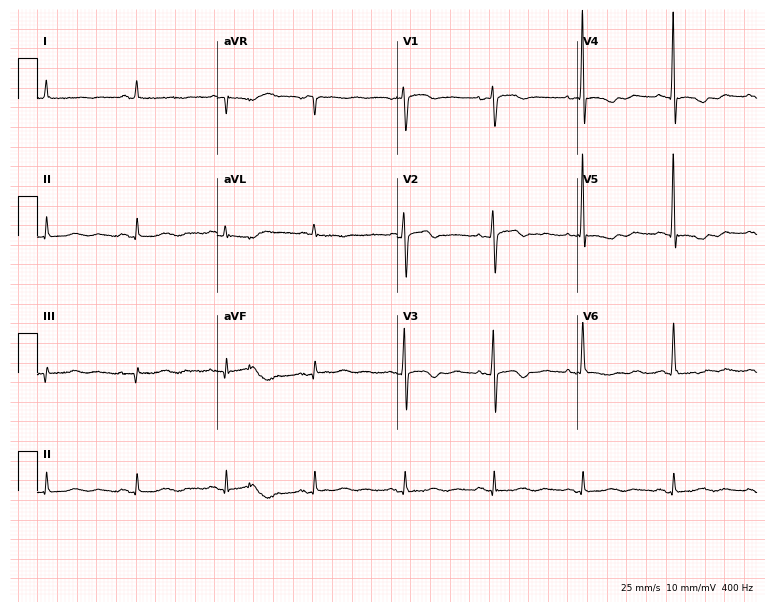
Standard 12-lead ECG recorded from a woman, 74 years old (7.3-second recording at 400 Hz). None of these six findings is recorded: first-degree AV block, right bundle branch block, left bundle branch block, sinus bradycardia, atrial fibrillation, sinus tachycardia. Other findings, if any, are not listed.